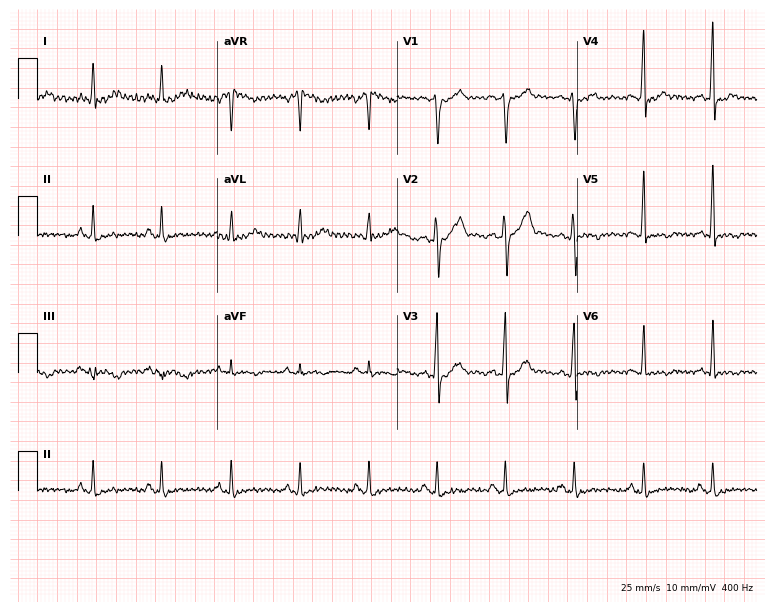
Resting 12-lead electrocardiogram. Patient: a 43-year-old male. None of these six findings is recorded: first-degree AV block, right bundle branch block, left bundle branch block, sinus bradycardia, atrial fibrillation, sinus tachycardia. Findings outside these six are not listed.